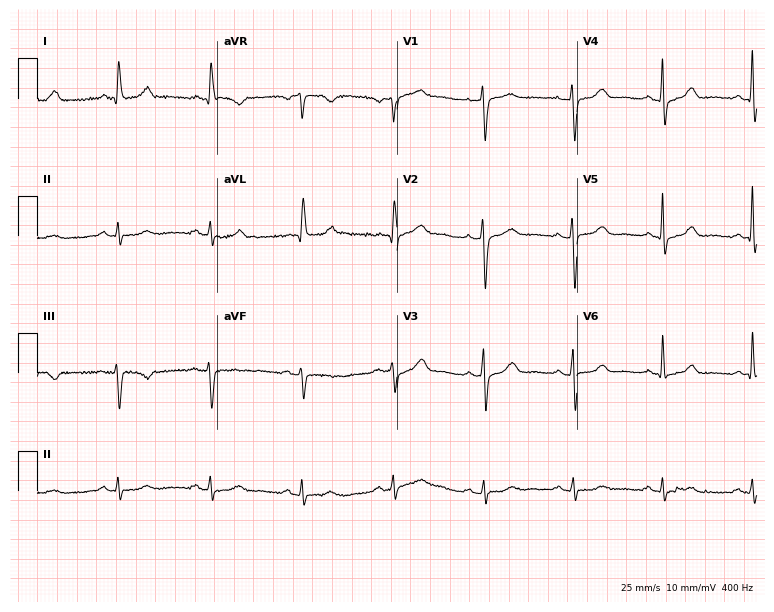
Electrocardiogram (7.3-second recording at 400 Hz), a 72-year-old woman. Overall reading on record: normal ECG.